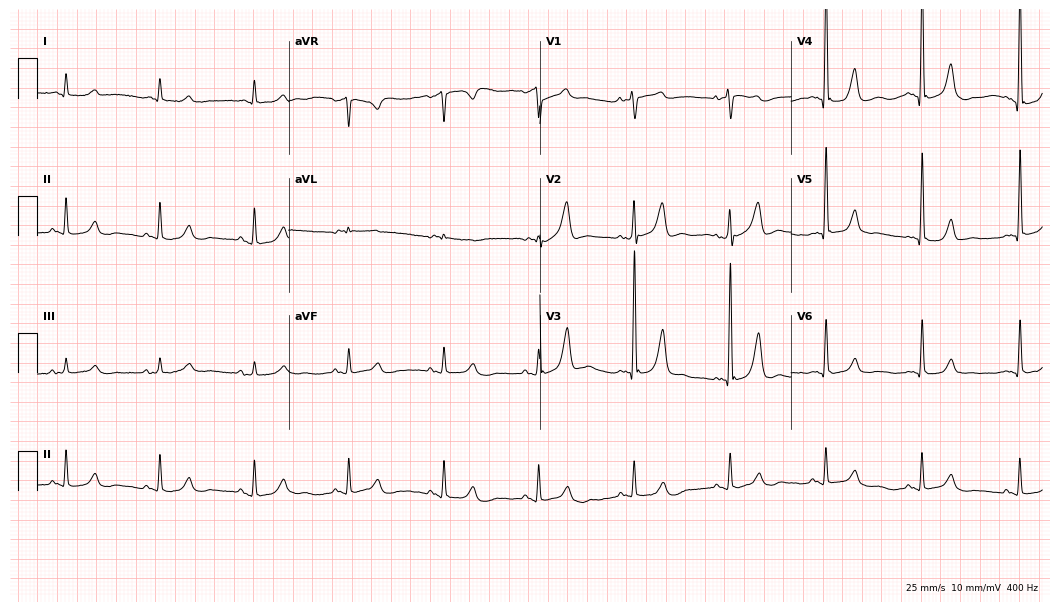
Resting 12-lead electrocardiogram. Patient: a male, 74 years old. None of these six findings is recorded: first-degree AV block, right bundle branch block, left bundle branch block, sinus bradycardia, atrial fibrillation, sinus tachycardia.